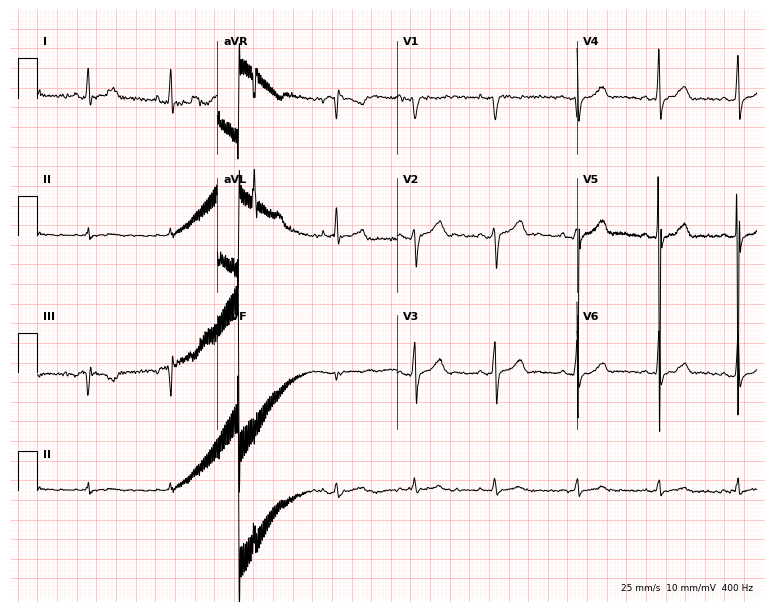
Standard 12-lead ECG recorded from a female patient, 35 years old. None of these six findings is recorded: first-degree AV block, right bundle branch block, left bundle branch block, sinus bradycardia, atrial fibrillation, sinus tachycardia. Other findings, if any, are not listed.